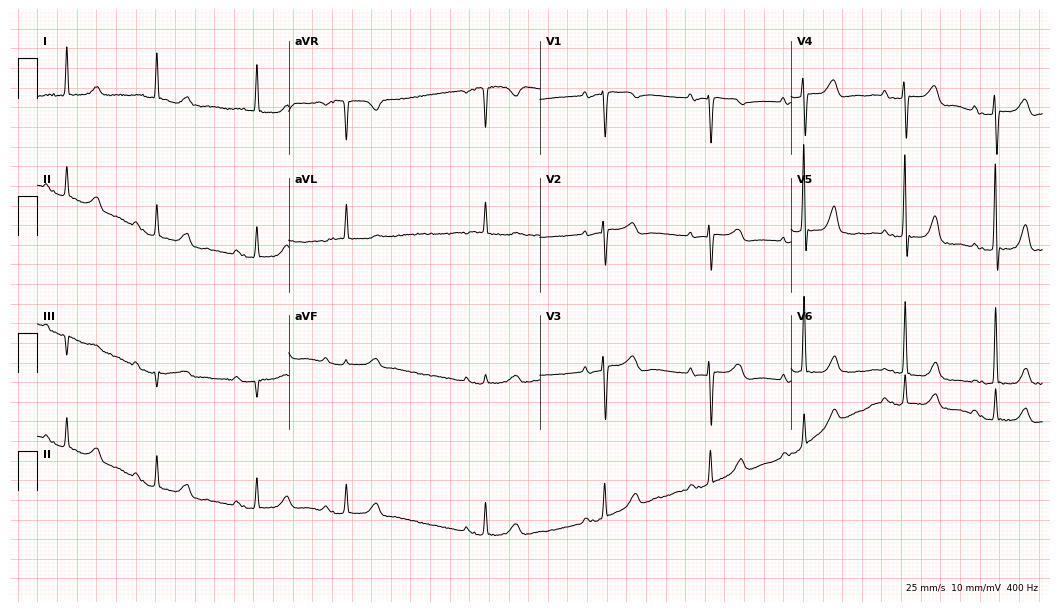
12-lead ECG from a woman, 81 years old (10.2-second recording at 400 Hz). No first-degree AV block, right bundle branch block, left bundle branch block, sinus bradycardia, atrial fibrillation or sinus tachycardia recorded for this tracing.